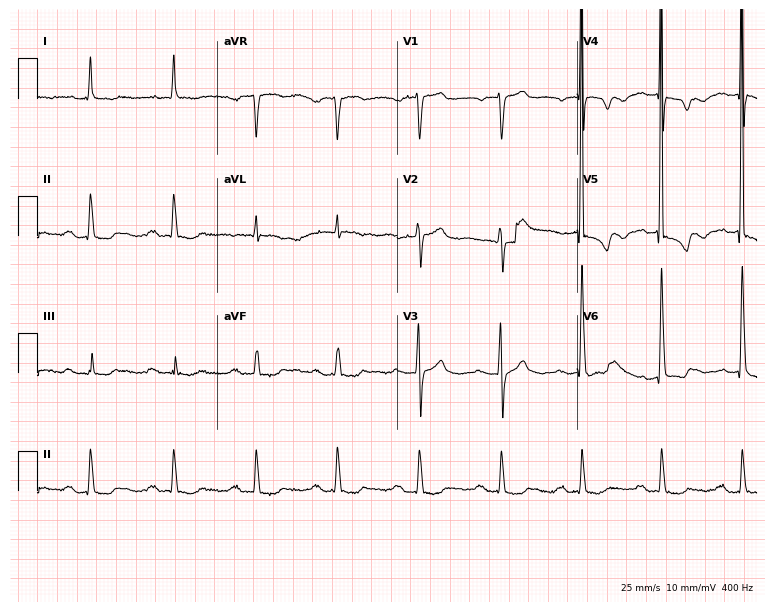
Electrocardiogram, a male patient, 78 years old. Of the six screened findings (first-degree AV block, right bundle branch block, left bundle branch block, sinus bradycardia, atrial fibrillation, sinus tachycardia), none is recorded.